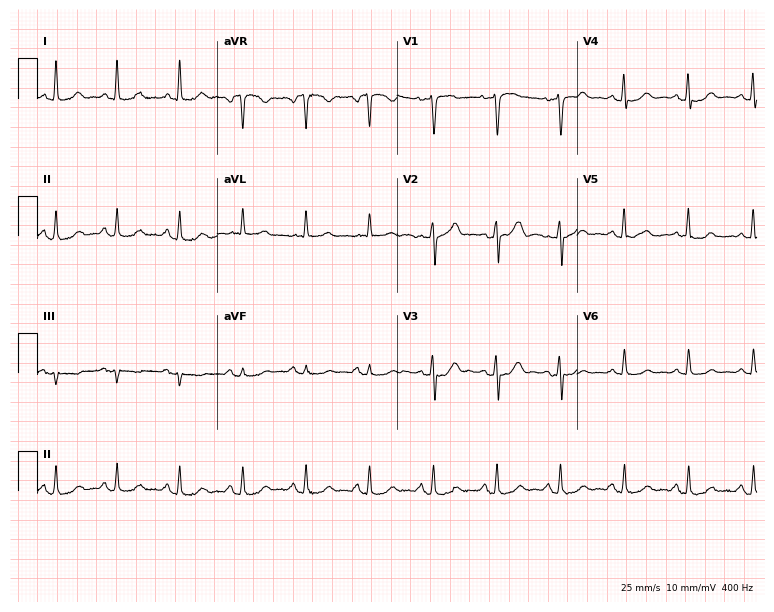
Resting 12-lead electrocardiogram. Patient: a female, 49 years old. Read as a normal ECG.